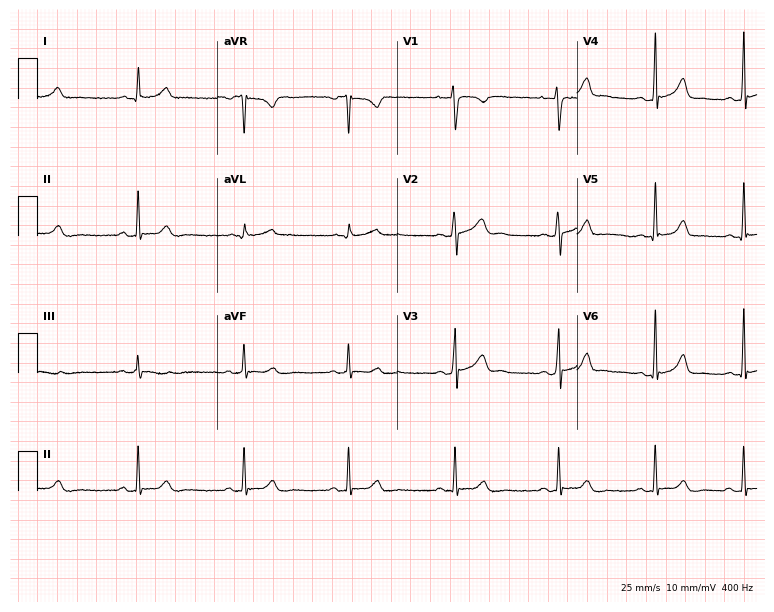
12-lead ECG from a female, 26 years old. No first-degree AV block, right bundle branch block, left bundle branch block, sinus bradycardia, atrial fibrillation or sinus tachycardia recorded for this tracing. Other findings, if any, are not listed.